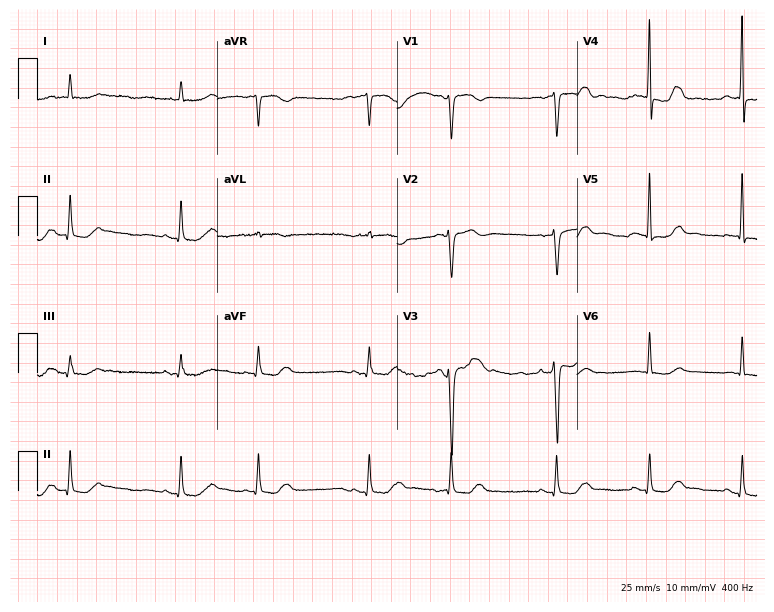
12-lead ECG from a 72-year-old female patient. Screened for six findings — first-degree AV block, right bundle branch block, left bundle branch block, sinus bradycardia, atrial fibrillation, sinus tachycardia — none is recorded.